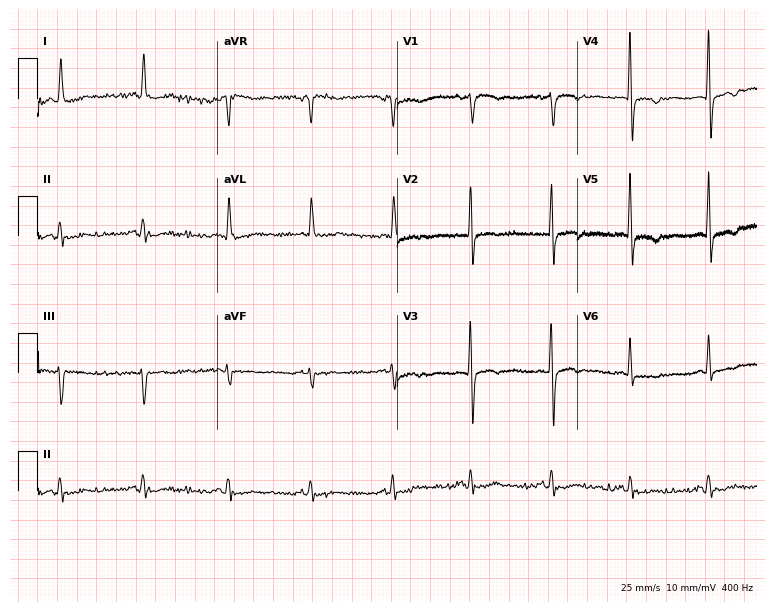
12-lead ECG from a female patient, 78 years old. No first-degree AV block, right bundle branch block, left bundle branch block, sinus bradycardia, atrial fibrillation or sinus tachycardia recorded for this tracing. Only these six findings were labelled.